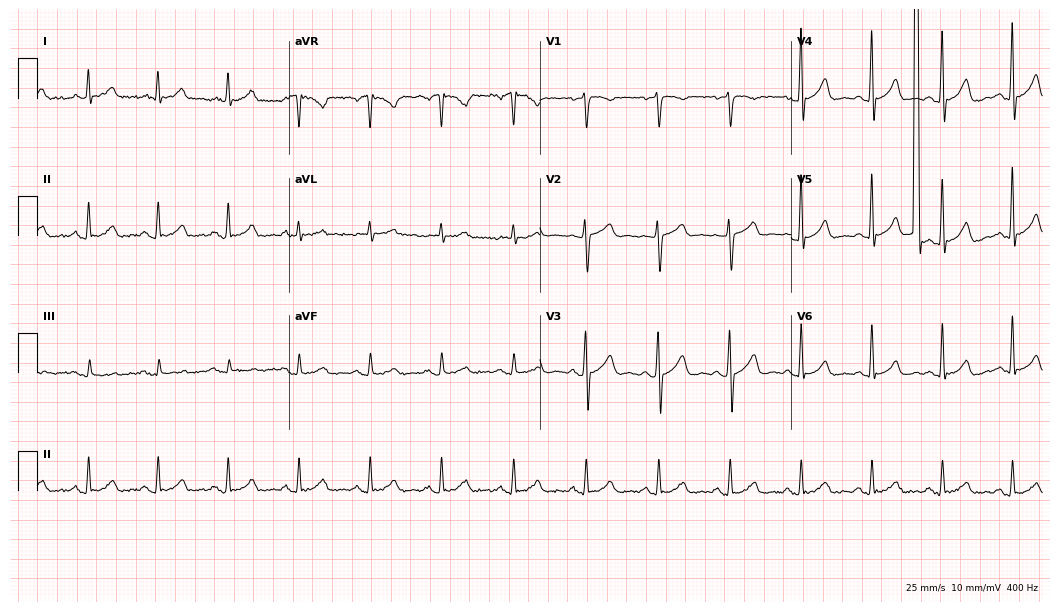
ECG (10.2-second recording at 400 Hz) — a male patient, 55 years old. Labelled as a normal ECG.